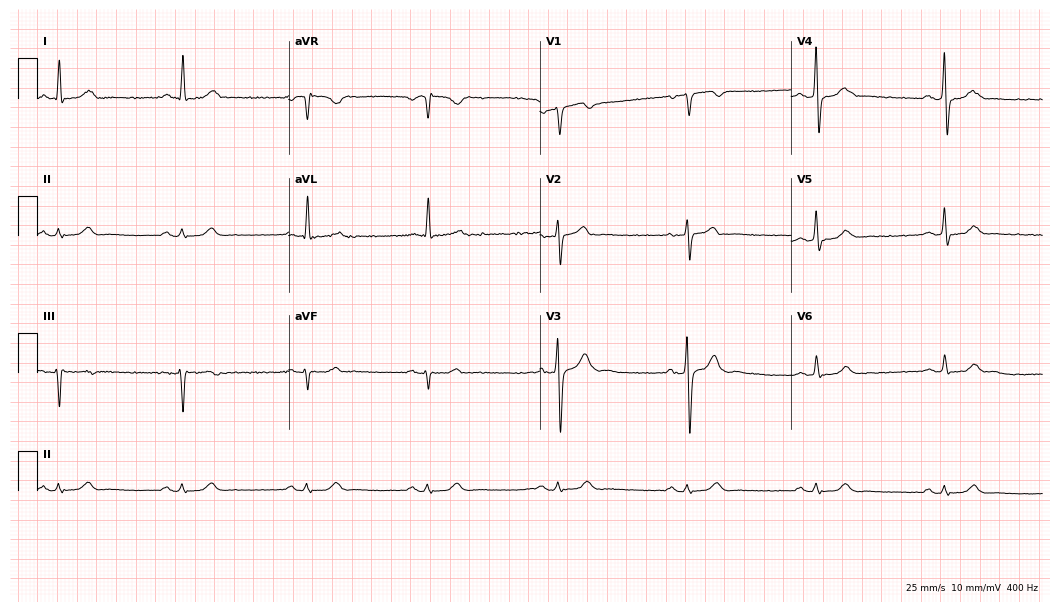
12-lead ECG from a 54-year-old man. Shows sinus bradycardia (a sinus rate of 50 beats per minute or less).